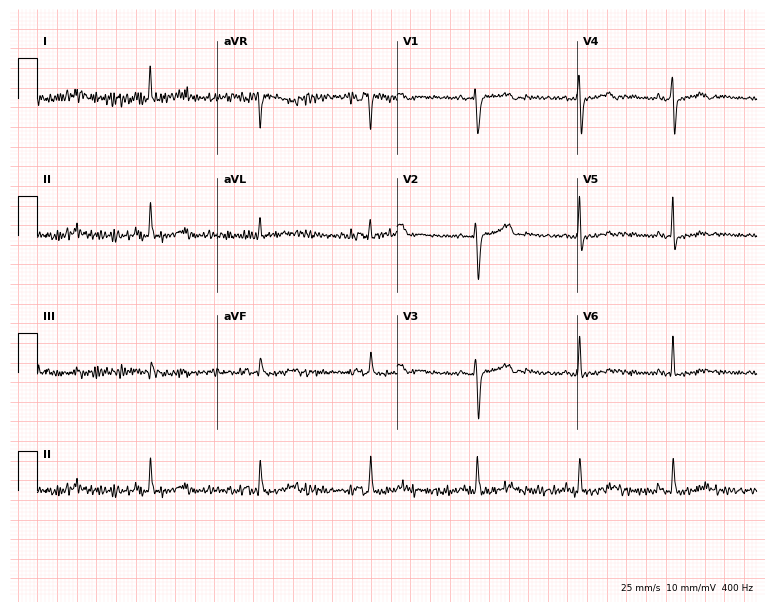
Resting 12-lead electrocardiogram. Patient: a woman, 51 years old. Read as a normal ECG.